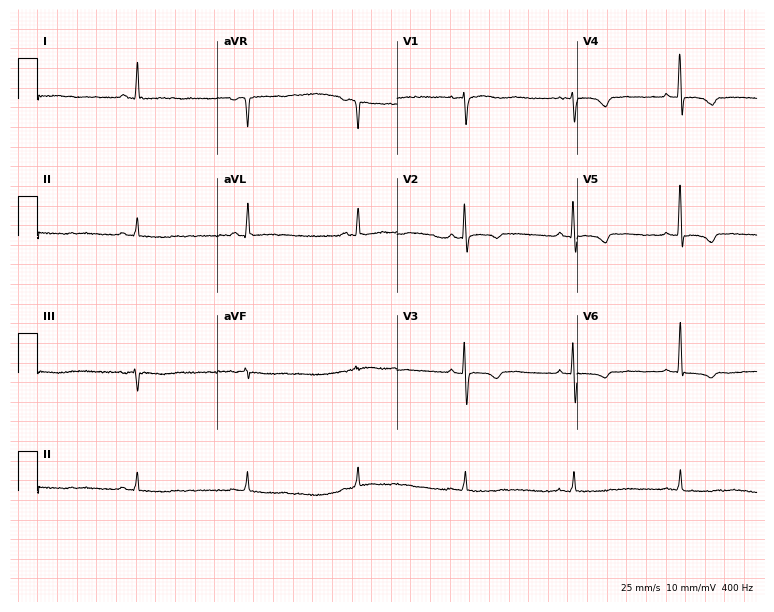
Resting 12-lead electrocardiogram. Patient: a 59-year-old female. None of these six findings is recorded: first-degree AV block, right bundle branch block, left bundle branch block, sinus bradycardia, atrial fibrillation, sinus tachycardia. Only these six findings were labelled.